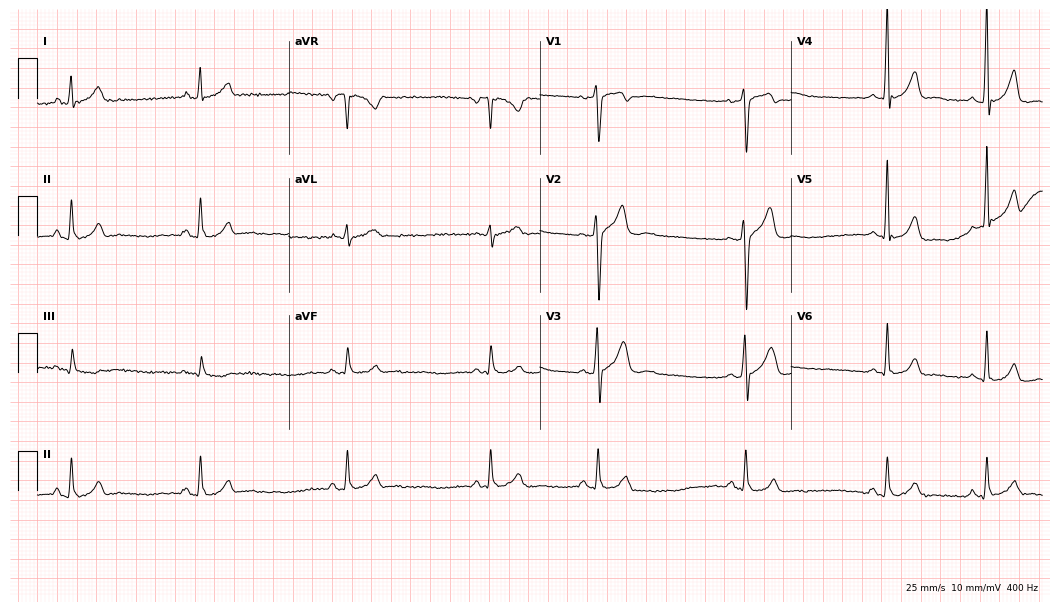
ECG (10.2-second recording at 400 Hz) — a man, 36 years old. Findings include sinus bradycardia (a sinus rate of 50 beats per minute or less).